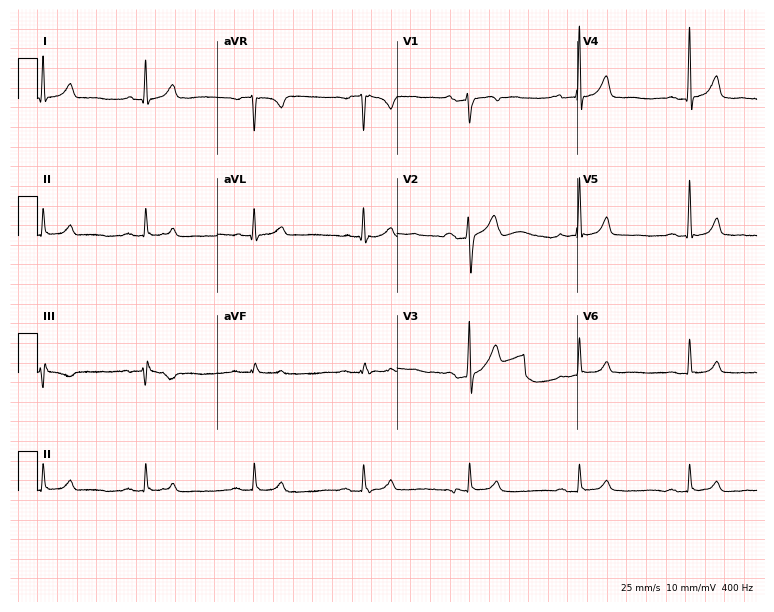
Electrocardiogram, a male, 36 years old. Overall reading on record: normal ECG.